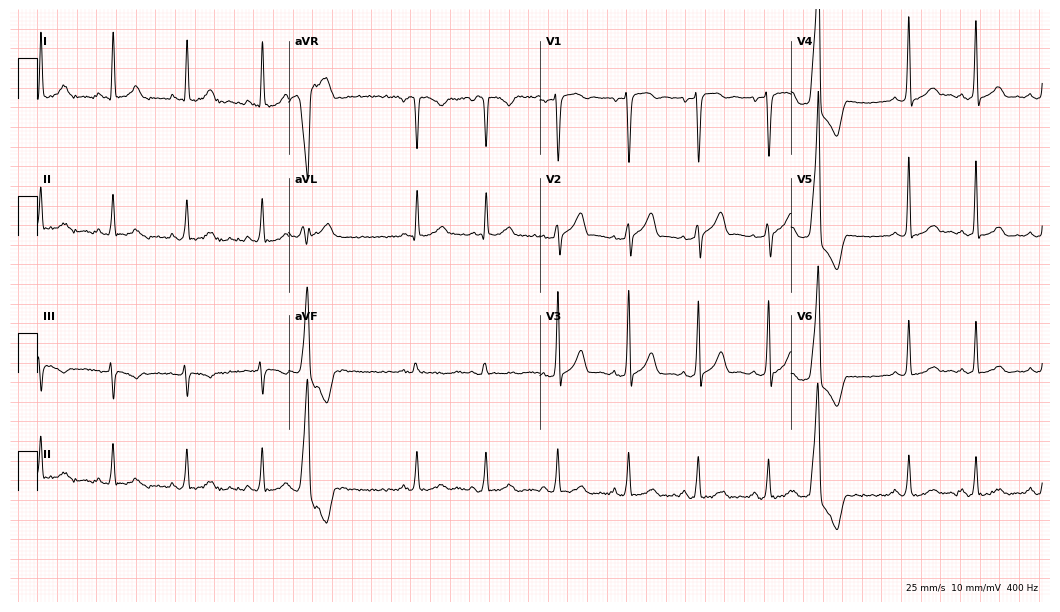
ECG — a man, 54 years old. Labelled as a normal ECG.